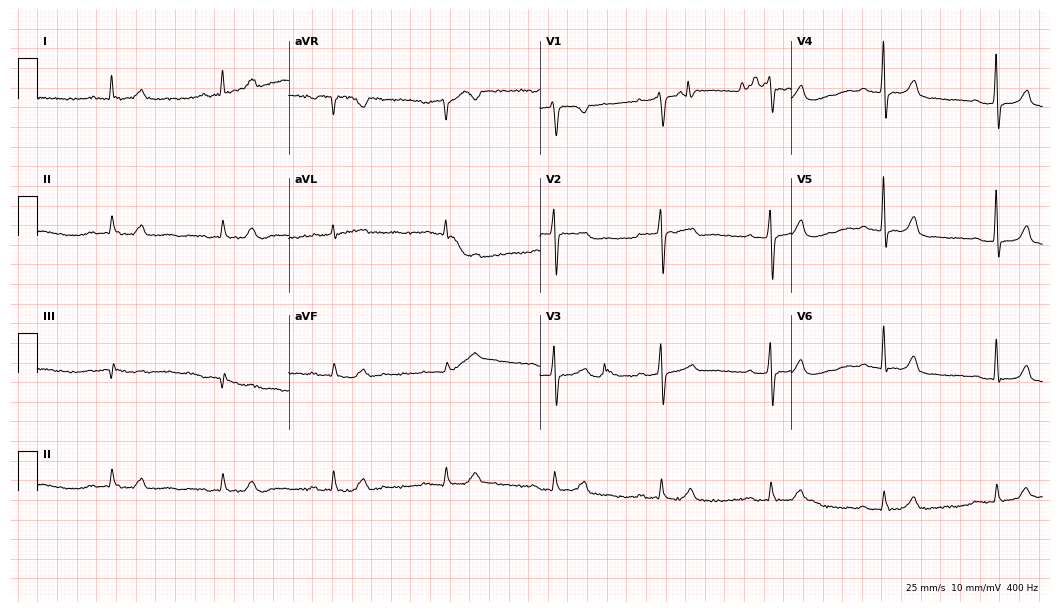
12-lead ECG from a female, 72 years old (10.2-second recording at 400 Hz). Shows first-degree AV block.